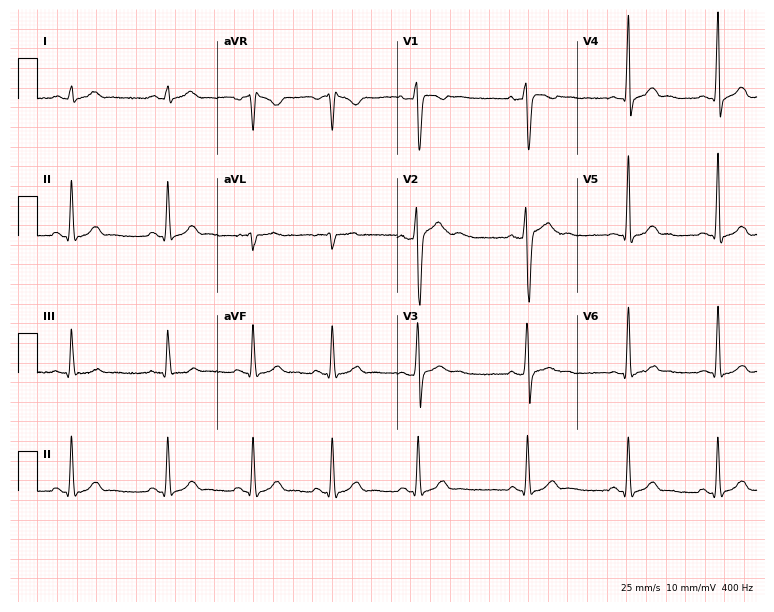
12-lead ECG (7.3-second recording at 400 Hz) from a man, 20 years old. Screened for six findings — first-degree AV block, right bundle branch block, left bundle branch block, sinus bradycardia, atrial fibrillation, sinus tachycardia — none is recorded. Other findings, if any, are not listed.